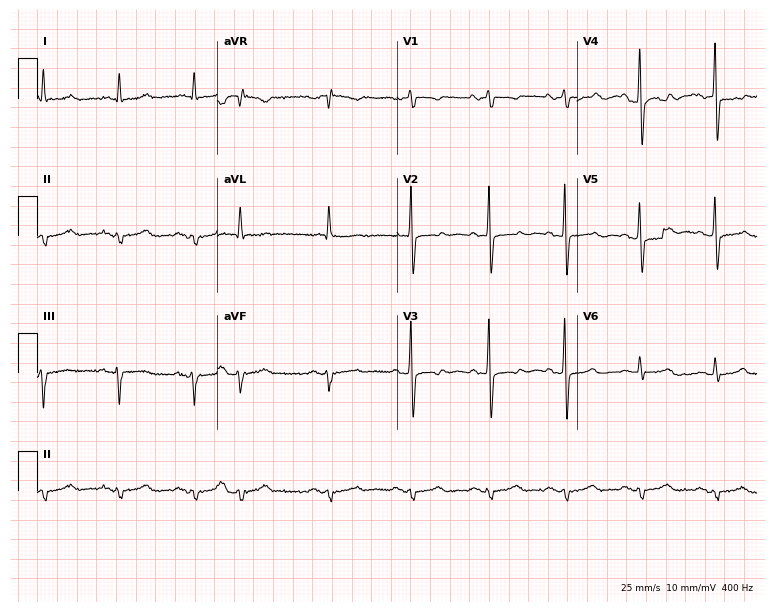
Resting 12-lead electrocardiogram (7.3-second recording at 400 Hz). Patient: a man, 76 years old. None of these six findings is recorded: first-degree AV block, right bundle branch block, left bundle branch block, sinus bradycardia, atrial fibrillation, sinus tachycardia. Only these six findings were labelled.